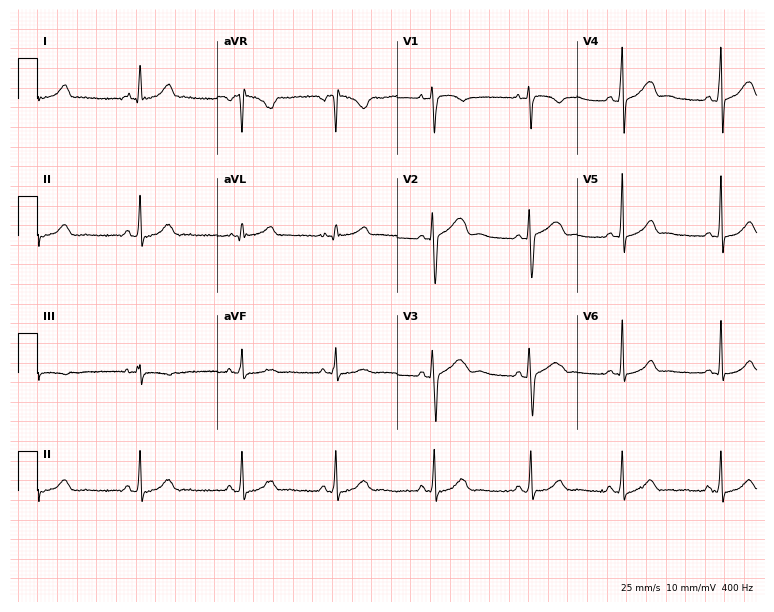
Resting 12-lead electrocardiogram (7.3-second recording at 400 Hz). Patient: a woman, 32 years old. Read as a normal ECG.